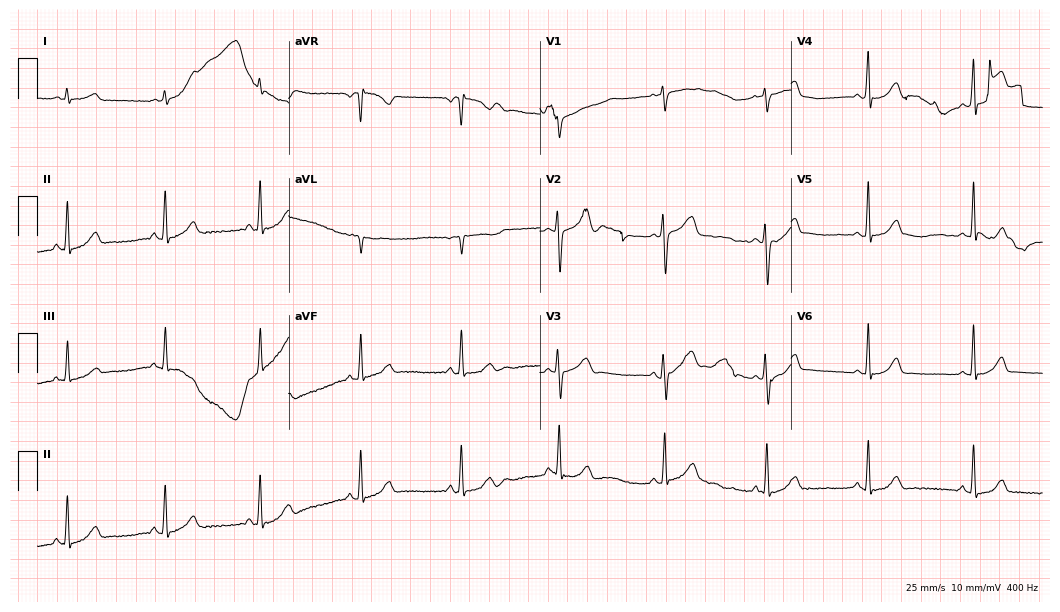
12-lead ECG (10.2-second recording at 400 Hz) from a female patient, 26 years old. Labelled as a normal ECG.